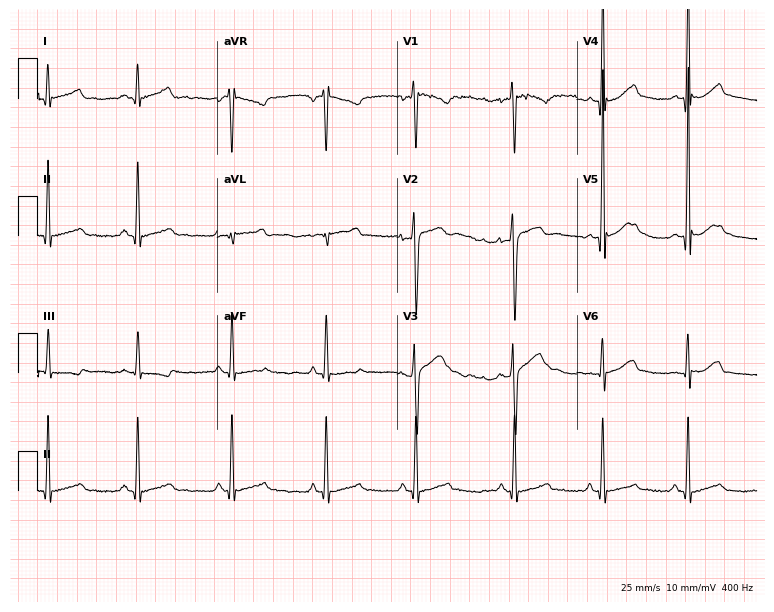
Electrocardiogram, a man, 19 years old. Overall reading on record: normal ECG.